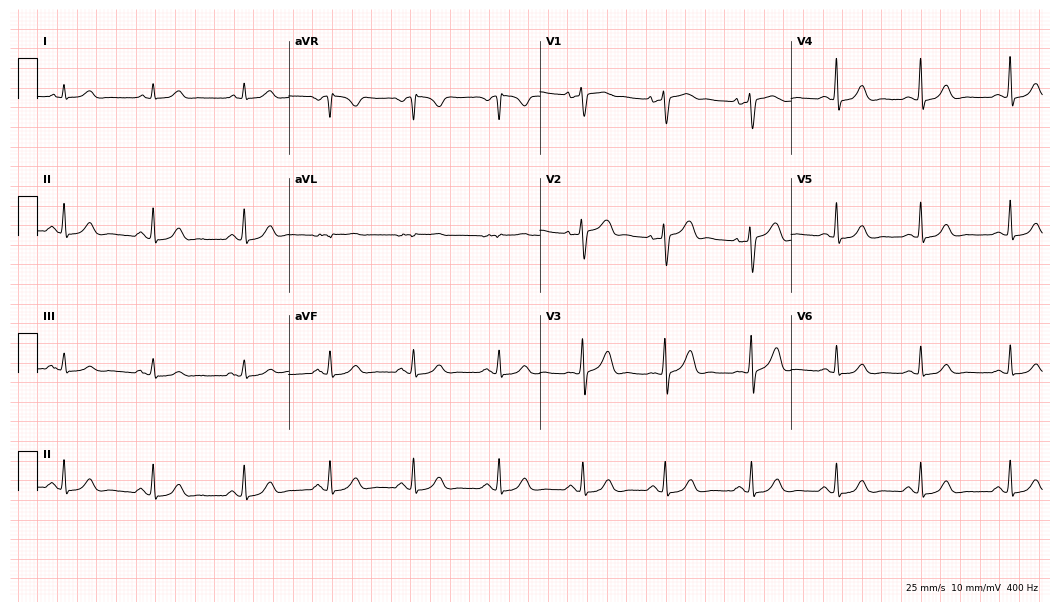
Standard 12-lead ECG recorded from a 49-year-old female patient. None of these six findings is recorded: first-degree AV block, right bundle branch block, left bundle branch block, sinus bradycardia, atrial fibrillation, sinus tachycardia.